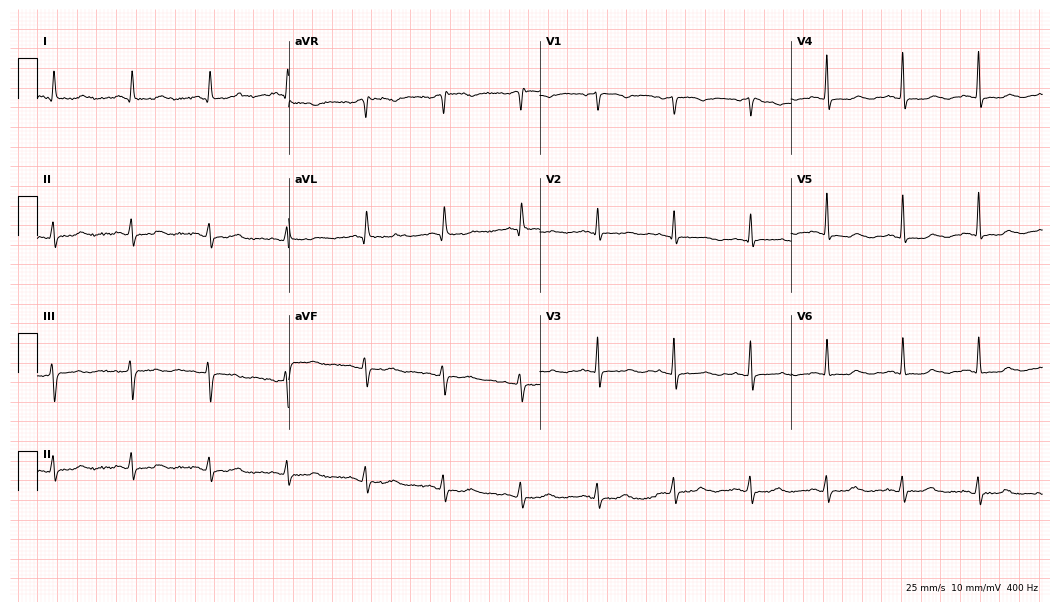
12-lead ECG from a female patient, 78 years old. No first-degree AV block, right bundle branch block (RBBB), left bundle branch block (LBBB), sinus bradycardia, atrial fibrillation (AF) or sinus tachycardia recorded for this tracing.